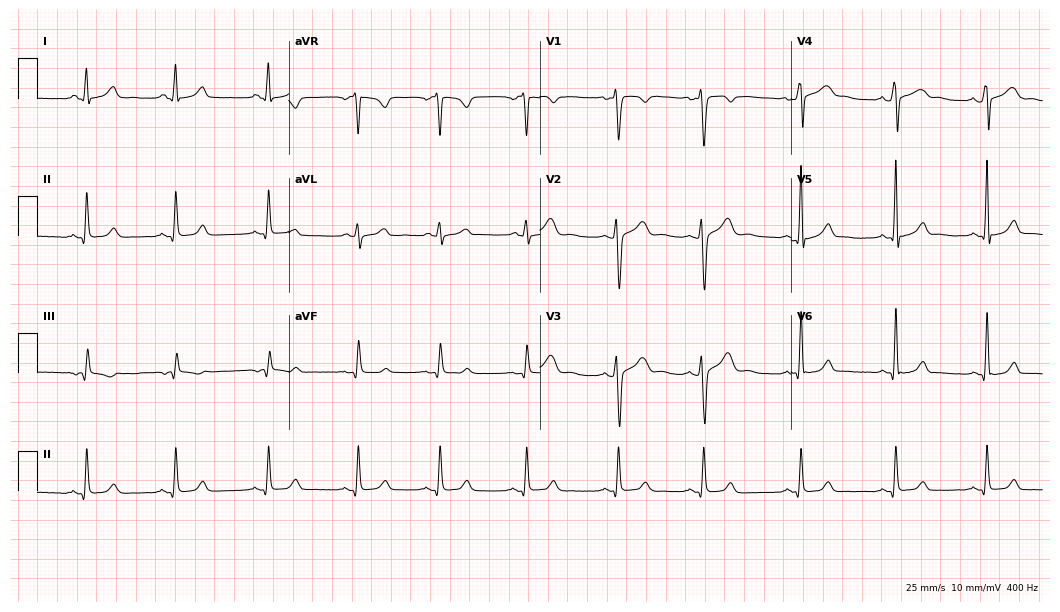
Resting 12-lead electrocardiogram (10.2-second recording at 400 Hz). Patient: a 32-year-old male. Read as a normal ECG.